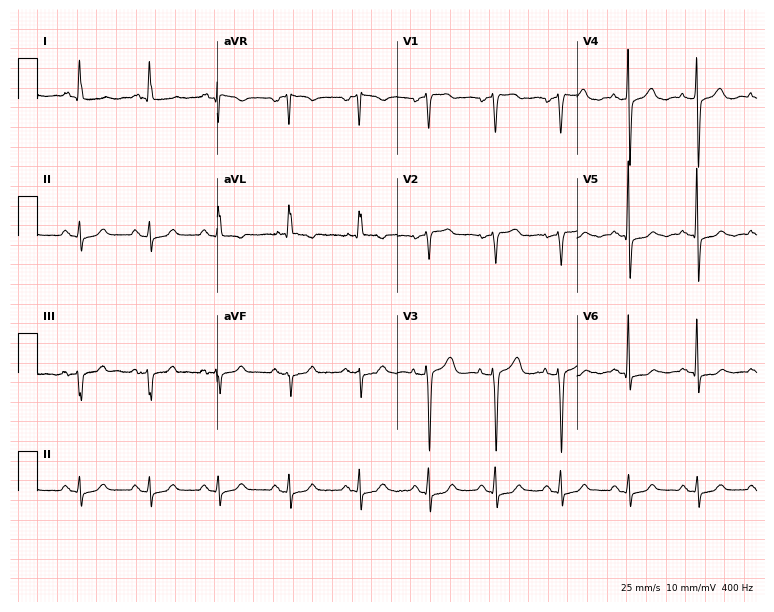
12-lead ECG (7.3-second recording at 400 Hz) from a female, 75 years old. Screened for six findings — first-degree AV block, right bundle branch block, left bundle branch block, sinus bradycardia, atrial fibrillation, sinus tachycardia — none is recorded. Findings outside these six are not listed.